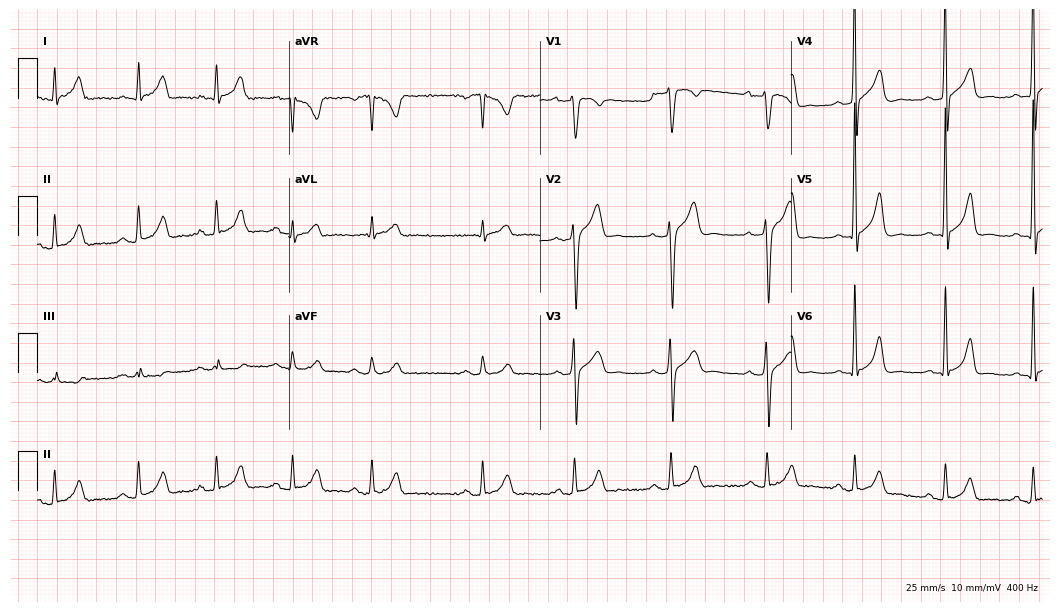
Standard 12-lead ECG recorded from a male patient, 28 years old. Read as a normal ECG.